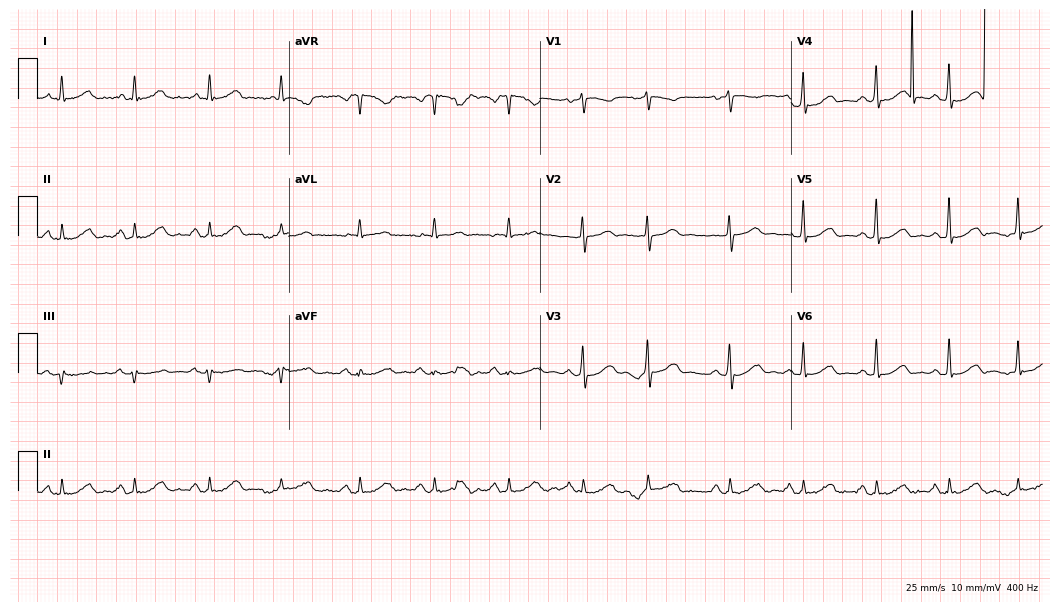
12-lead ECG from a man, 61 years old. Screened for six findings — first-degree AV block, right bundle branch block (RBBB), left bundle branch block (LBBB), sinus bradycardia, atrial fibrillation (AF), sinus tachycardia — none is recorded. Only these six findings were labelled.